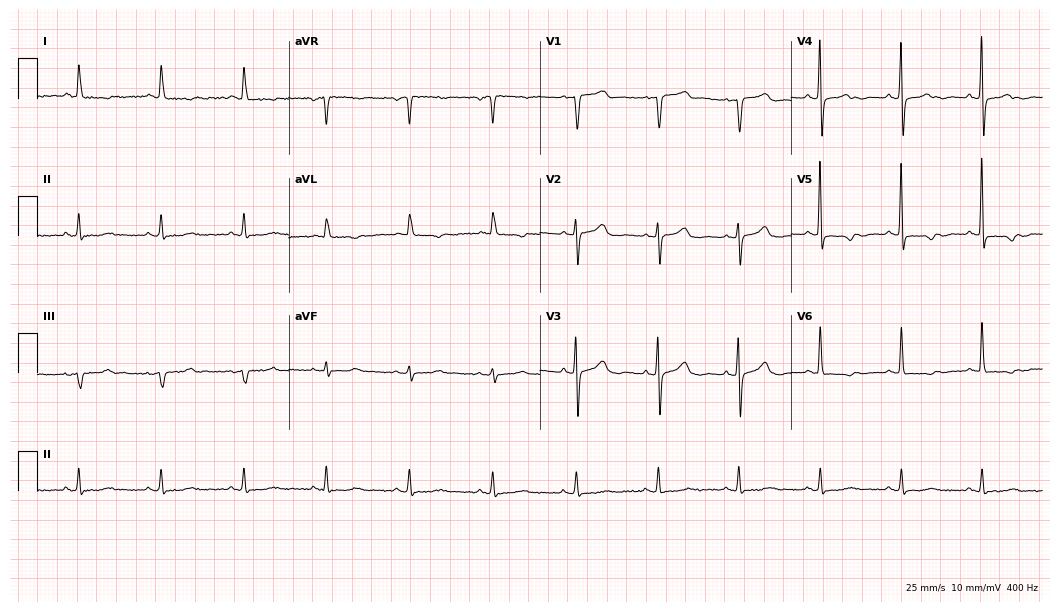
12-lead ECG from a male patient, 73 years old. Screened for six findings — first-degree AV block, right bundle branch block, left bundle branch block, sinus bradycardia, atrial fibrillation, sinus tachycardia — none is recorded. Other findings, if any, are not listed.